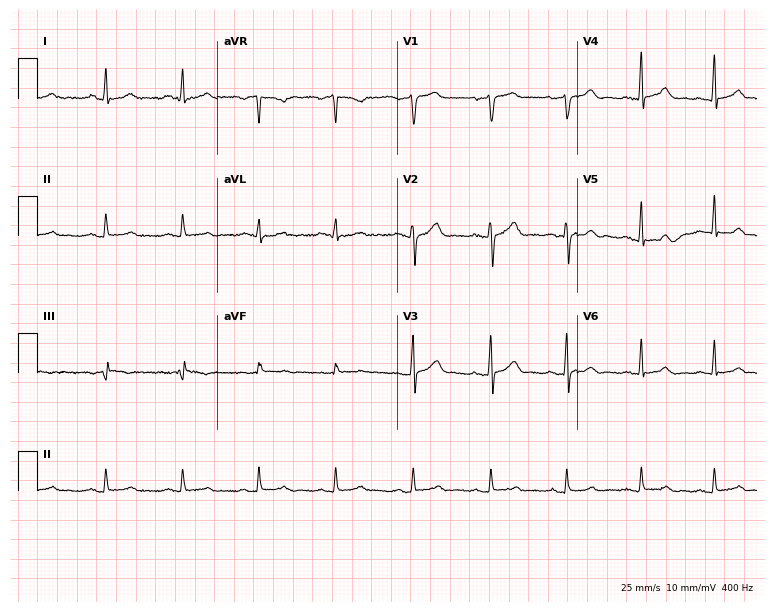
Standard 12-lead ECG recorded from a 47-year-old male patient (7.3-second recording at 400 Hz). Read as a normal ECG.